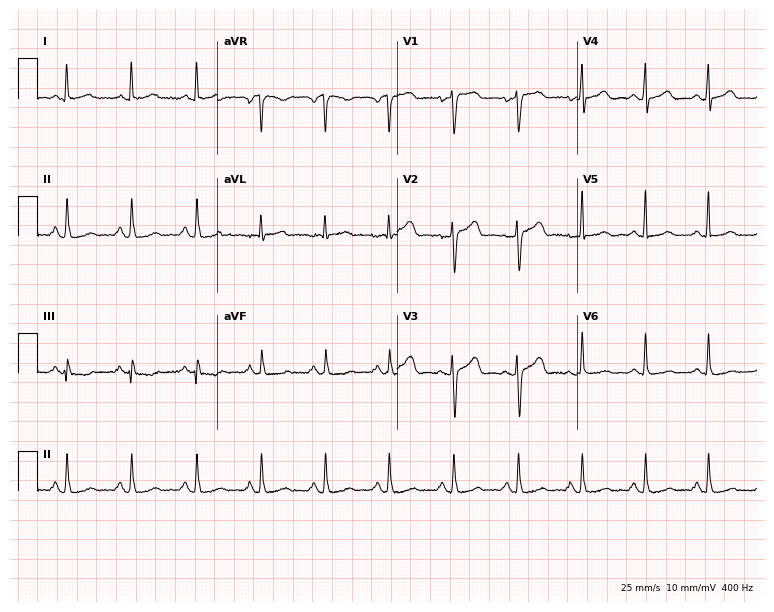
12-lead ECG from a 56-year-old female. No first-degree AV block, right bundle branch block, left bundle branch block, sinus bradycardia, atrial fibrillation or sinus tachycardia recorded for this tracing. Only these six findings were labelled.